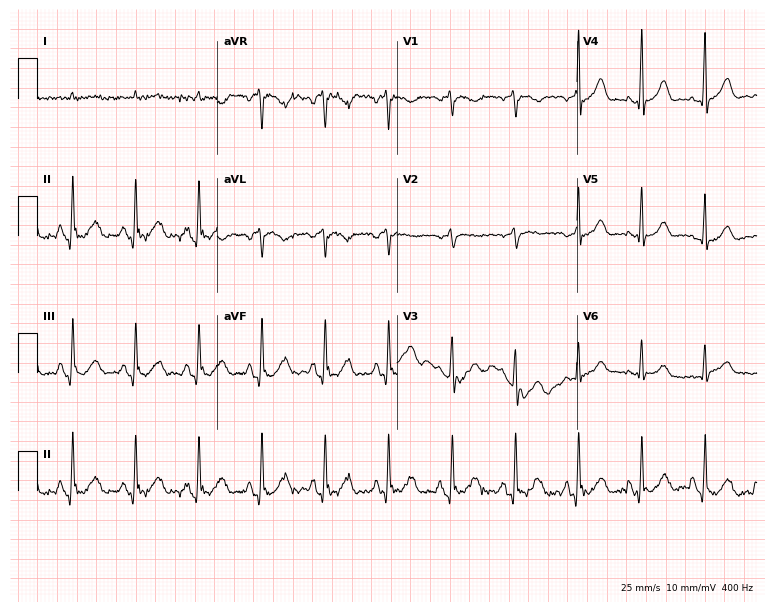
ECG — a male patient, 70 years old. Screened for six findings — first-degree AV block, right bundle branch block, left bundle branch block, sinus bradycardia, atrial fibrillation, sinus tachycardia — none is recorded.